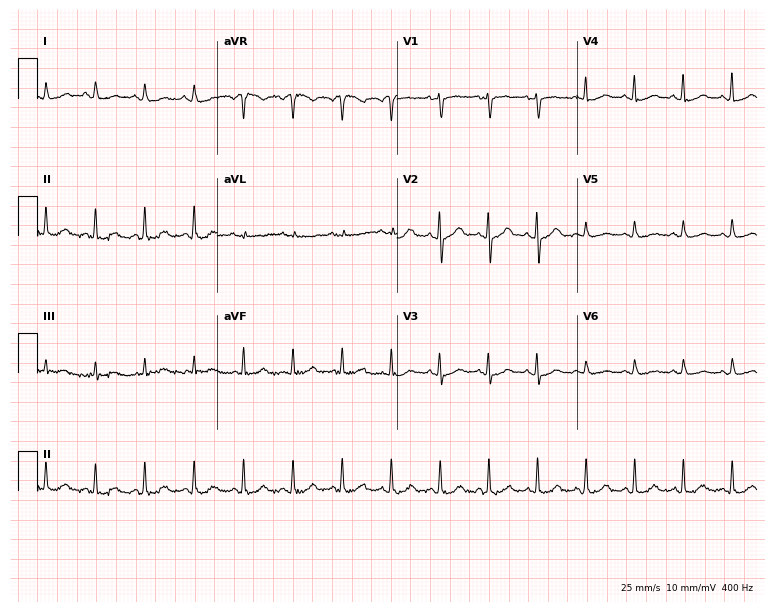
Standard 12-lead ECG recorded from a 61-year-old woman. None of these six findings is recorded: first-degree AV block, right bundle branch block (RBBB), left bundle branch block (LBBB), sinus bradycardia, atrial fibrillation (AF), sinus tachycardia.